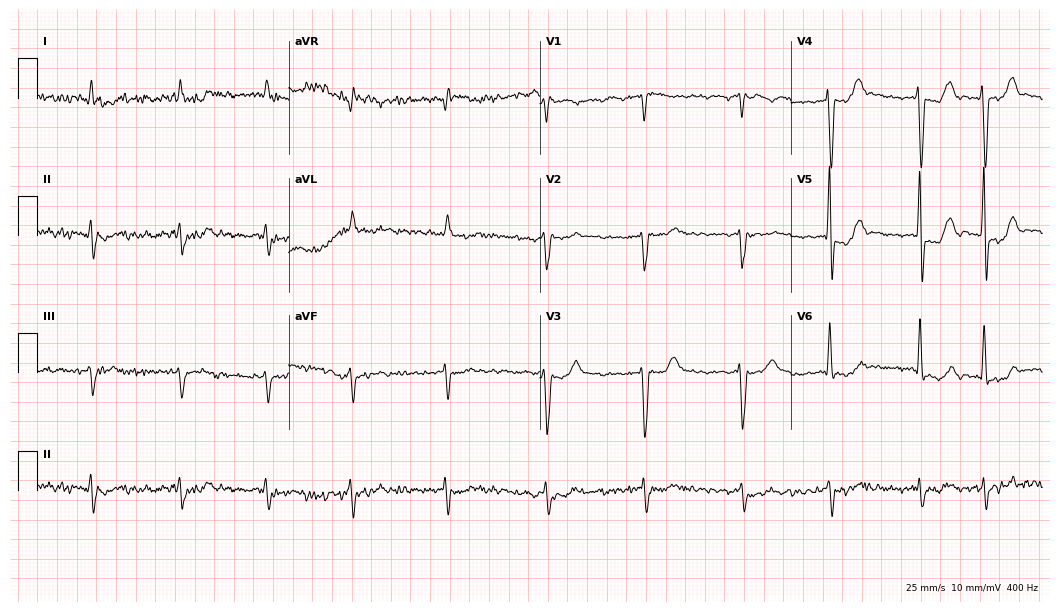
Resting 12-lead electrocardiogram. Patient: a man, 82 years old. None of these six findings is recorded: first-degree AV block, right bundle branch block, left bundle branch block, sinus bradycardia, atrial fibrillation, sinus tachycardia. Only these six findings were labelled.